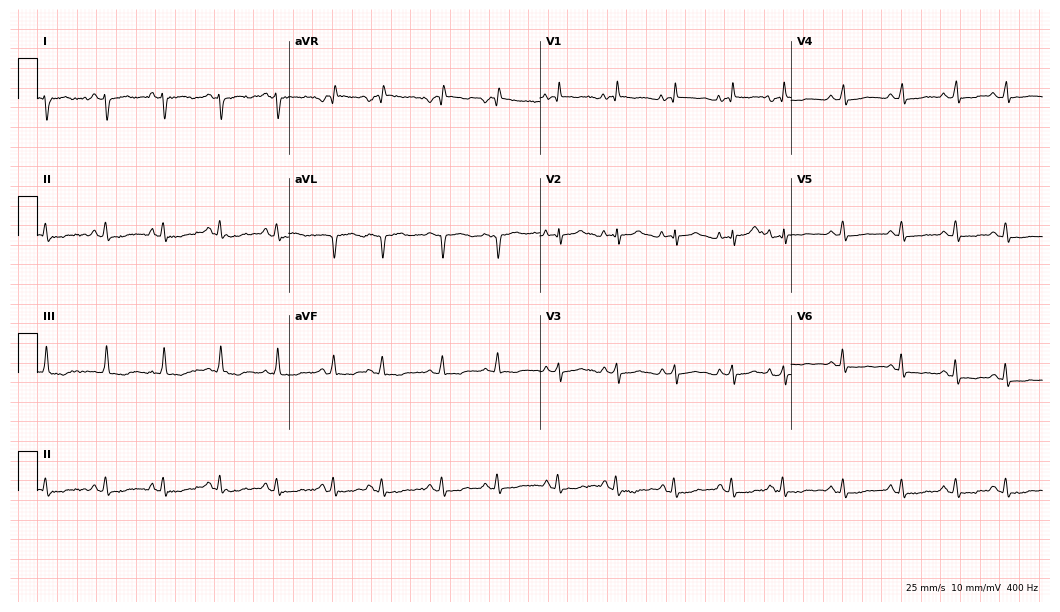
Resting 12-lead electrocardiogram. Patient: a woman, 77 years old. The tracing shows atrial fibrillation, sinus tachycardia (a sinus rate of 100 beats per minute or more).